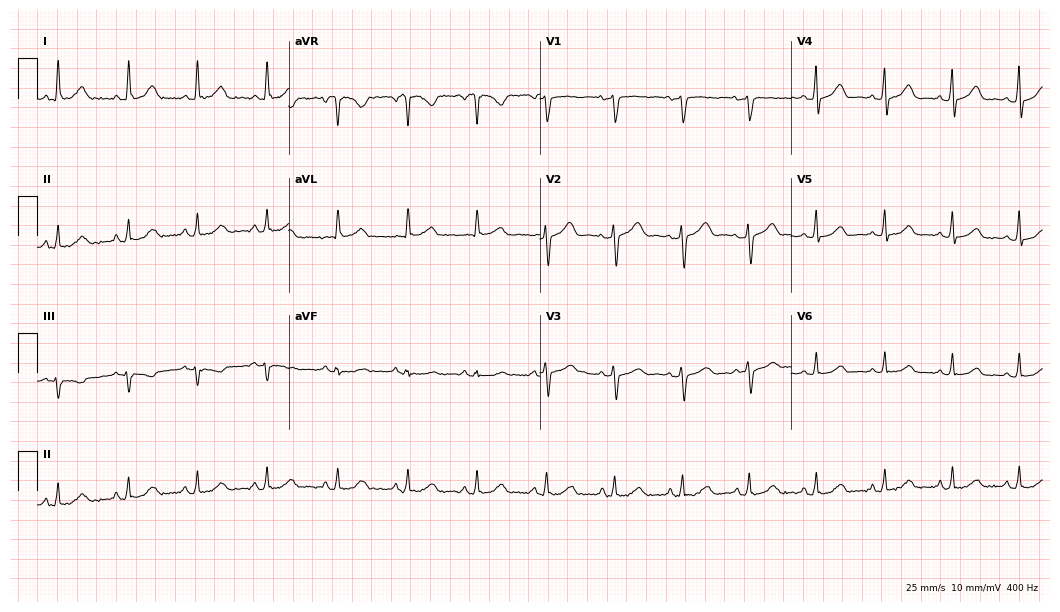
Resting 12-lead electrocardiogram (10.2-second recording at 400 Hz). Patient: a woman, 41 years old. Read as a normal ECG.